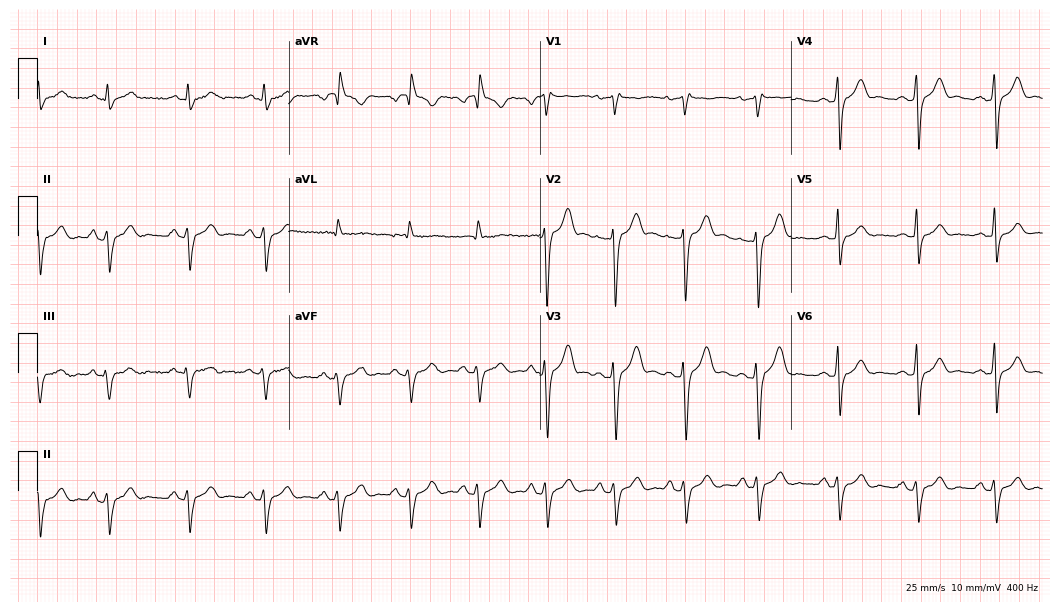
Standard 12-lead ECG recorded from a man, 36 years old. None of these six findings is recorded: first-degree AV block, right bundle branch block (RBBB), left bundle branch block (LBBB), sinus bradycardia, atrial fibrillation (AF), sinus tachycardia. Only these six findings were labelled.